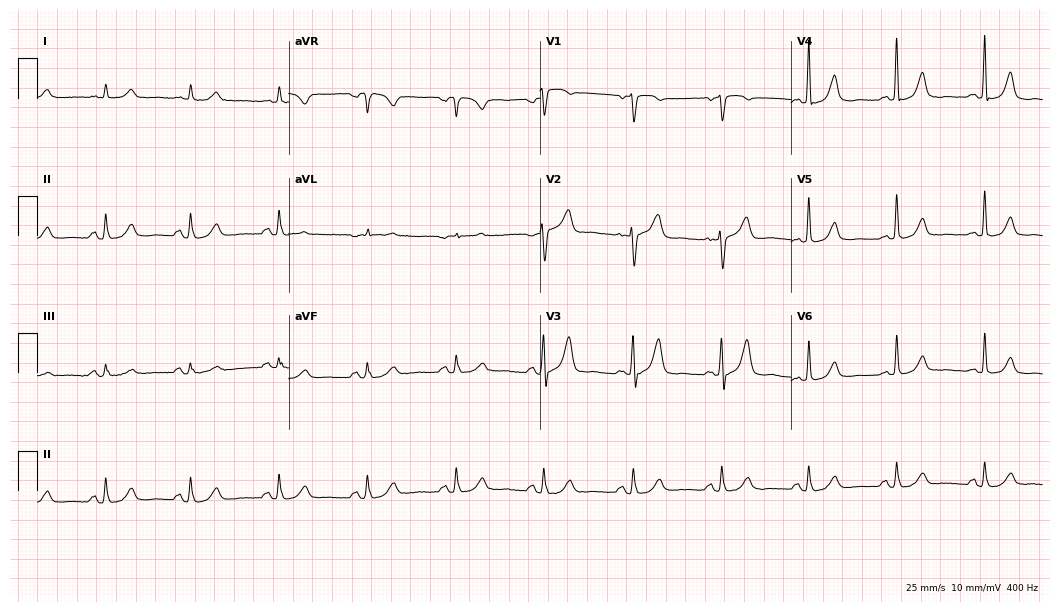
12-lead ECG (10.2-second recording at 400 Hz) from a woman, 66 years old. Labelled as a normal ECG.